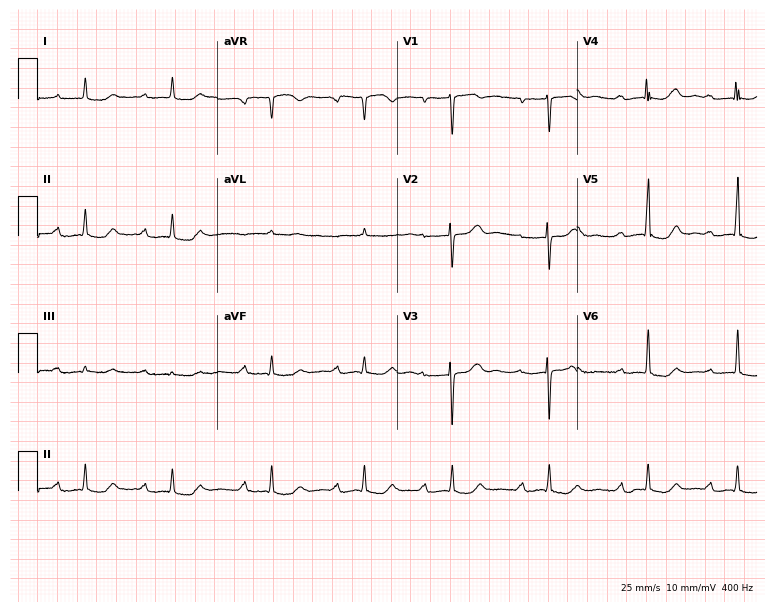
12-lead ECG from a man, 76 years old (7.3-second recording at 400 Hz). Shows first-degree AV block.